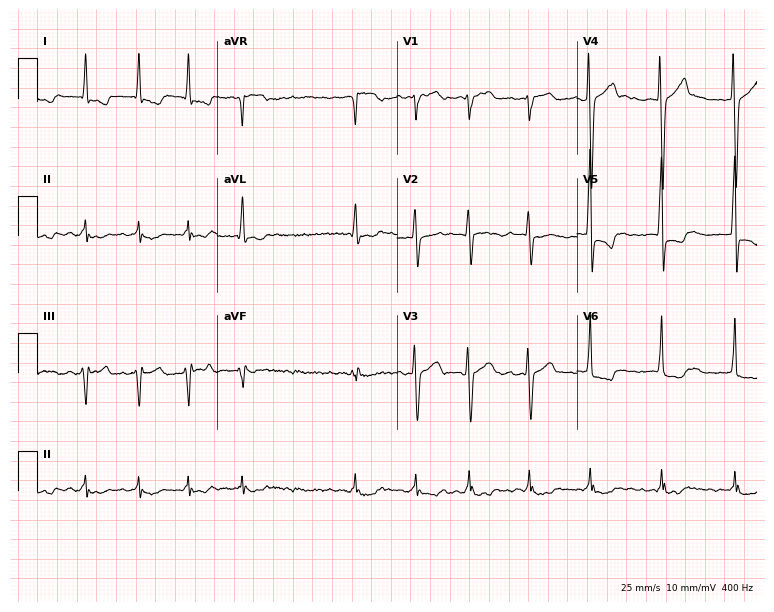
Resting 12-lead electrocardiogram. Patient: a 74-year-old male. The tracing shows atrial fibrillation (AF).